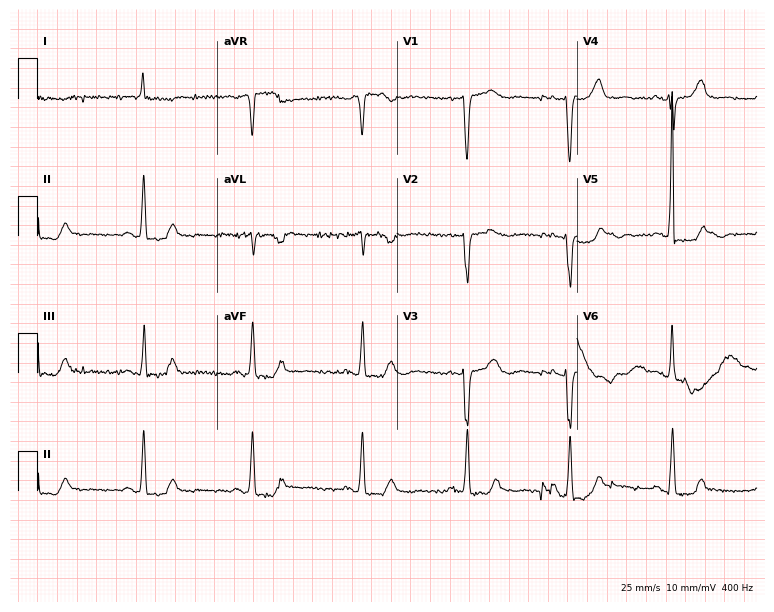
Resting 12-lead electrocardiogram. Patient: a 78-year-old female. None of these six findings is recorded: first-degree AV block, right bundle branch block, left bundle branch block, sinus bradycardia, atrial fibrillation, sinus tachycardia.